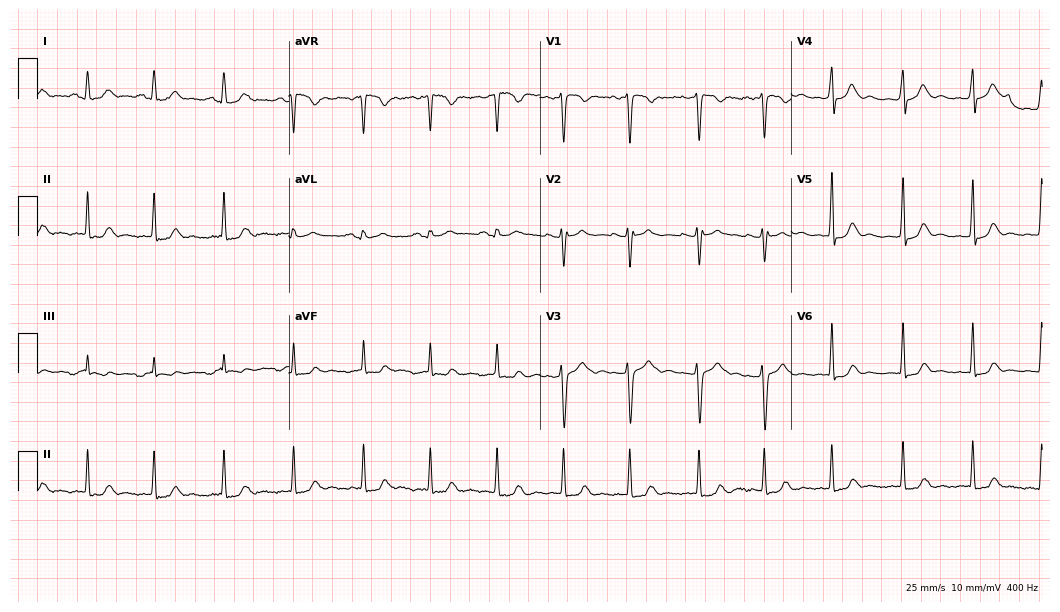
ECG (10.2-second recording at 400 Hz) — a female patient, 27 years old. Screened for six findings — first-degree AV block, right bundle branch block, left bundle branch block, sinus bradycardia, atrial fibrillation, sinus tachycardia — none is recorded. Findings outside these six are not listed.